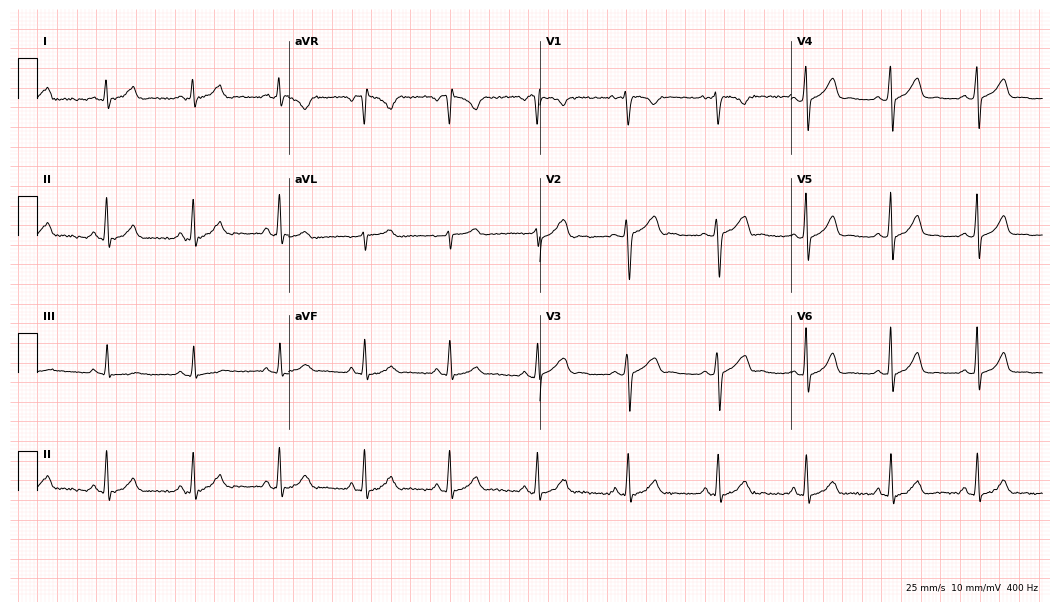
12-lead ECG from a female patient, 22 years old (10.2-second recording at 400 Hz). Recorded interpretation: within normal limits.